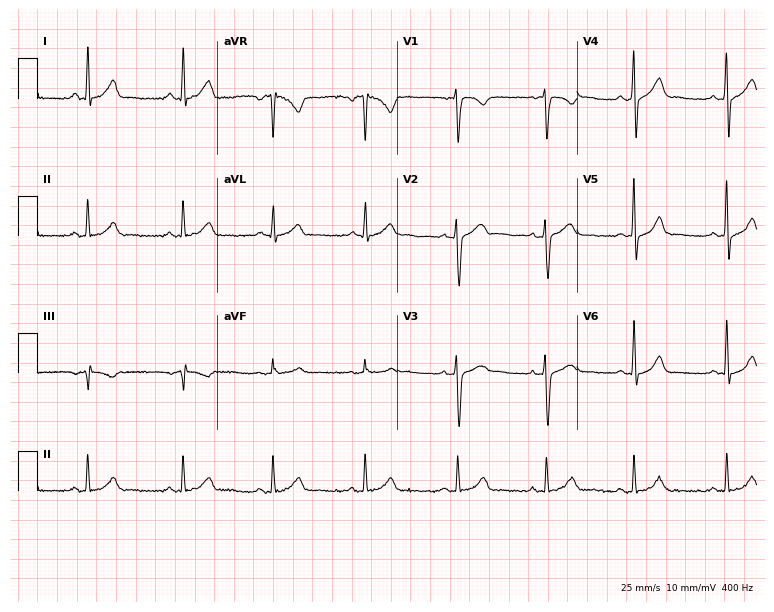
12-lead ECG from a male patient, 25 years old (7.3-second recording at 400 Hz). Recorded interpretation: within normal limits.